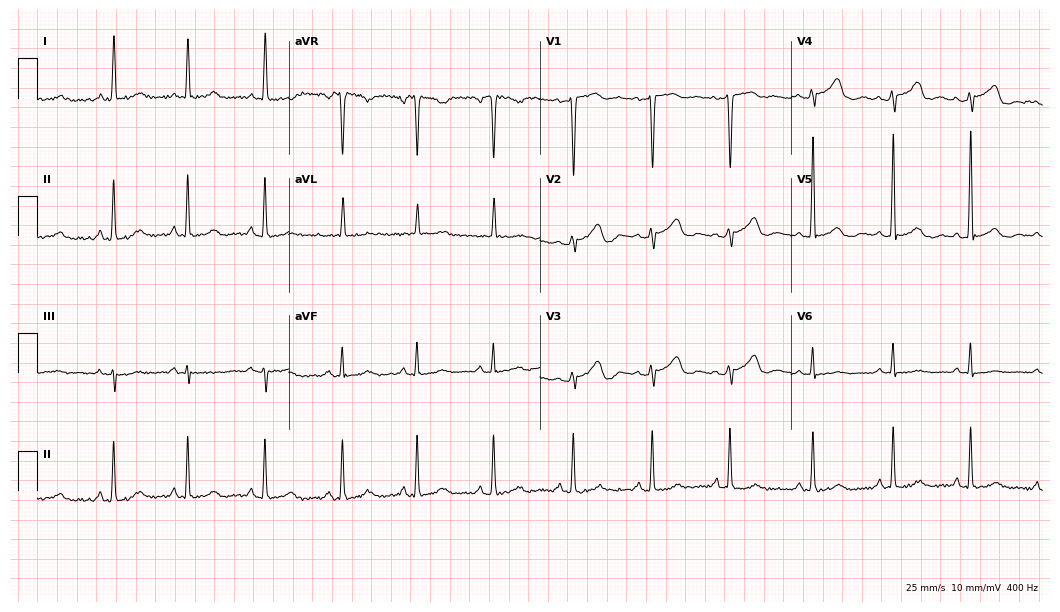
Resting 12-lead electrocardiogram. Patient: a 60-year-old female. Read as a normal ECG.